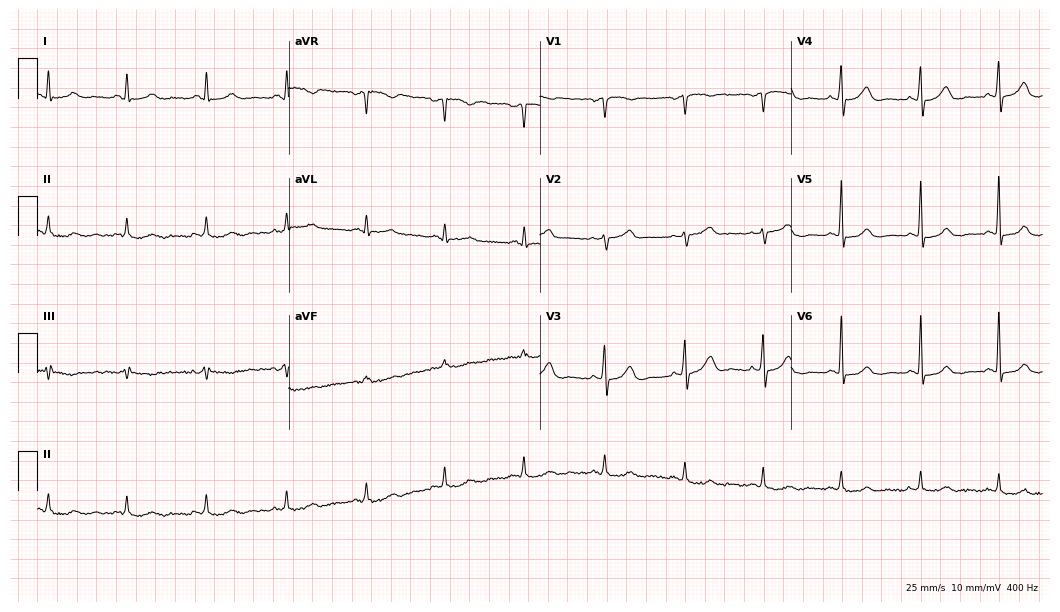
Standard 12-lead ECG recorded from a 52-year-old woman (10.2-second recording at 400 Hz). Read as a normal ECG.